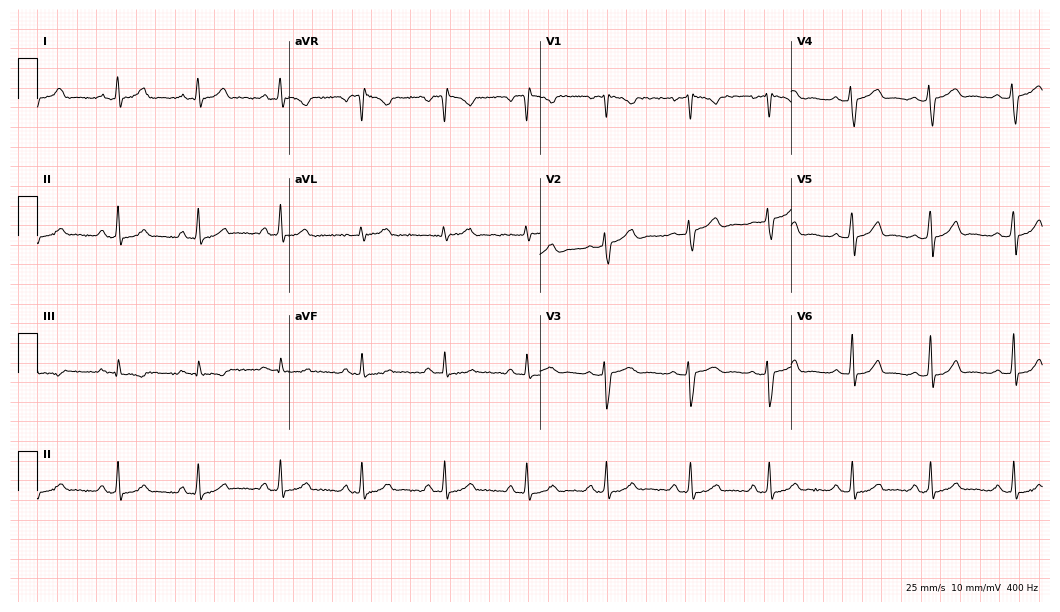
12-lead ECG (10.2-second recording at 400 Hz) from a 24-year-old female patient. Labelled as a normal ECG.